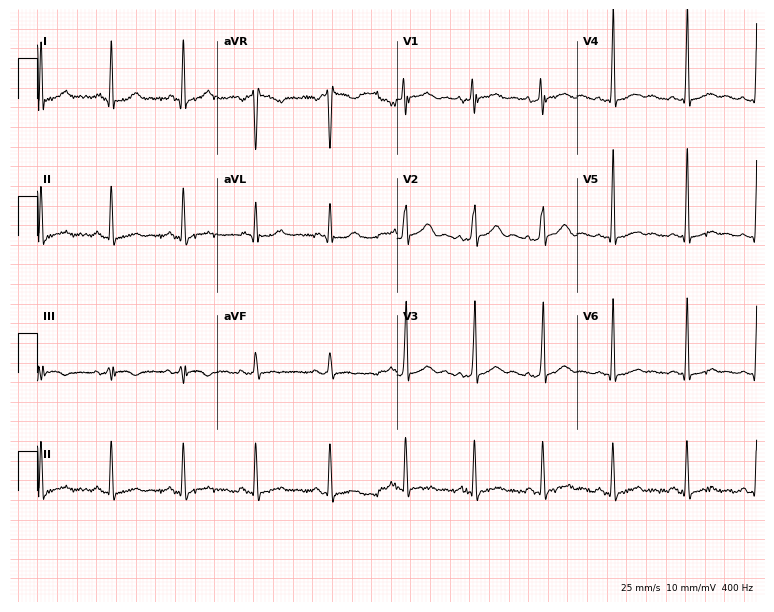
Resting 12-lead electrocardiogram. Patient: a female, 26 years old. Read as a normal ECG.